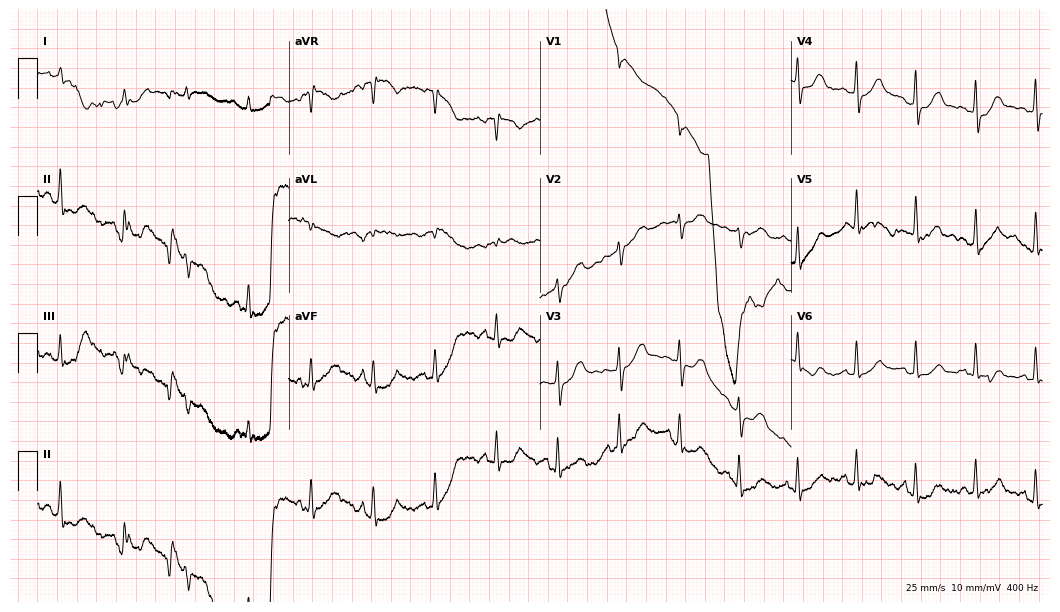
ECG — a male, 74 years old. Screened for six findings — first-degree AV block, right bundle branch block, left bundle branch block, sinus bradycardia, atrial fibrillation, sinus tachycardia — none is recorded. Only these six findings were labelled.